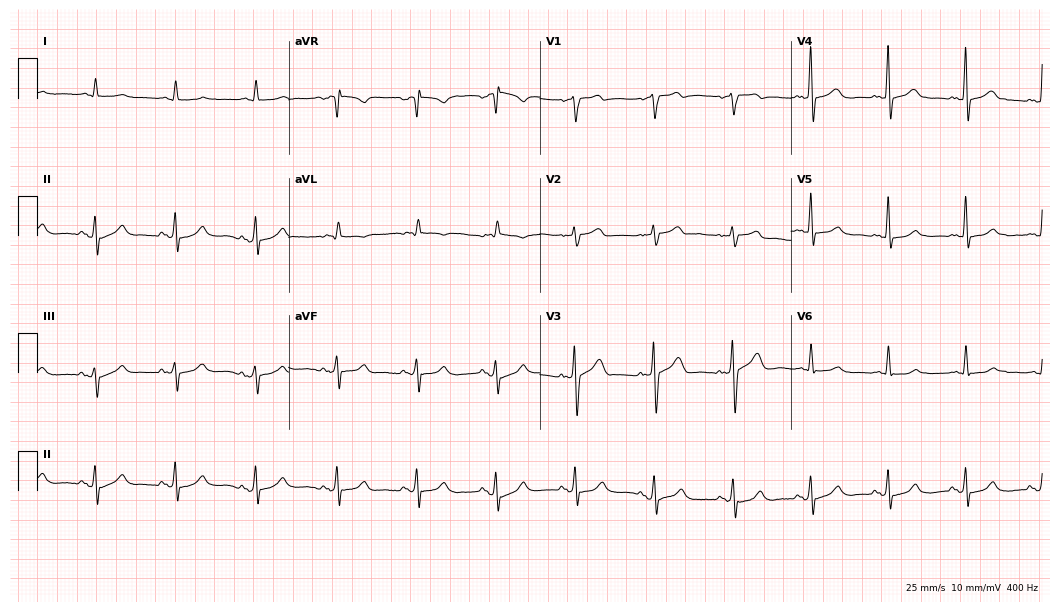
Standard 12-lead ECG recorded from a man, 71 years old (10.2-second recording at 400 Hz). Read as a normal ECG.